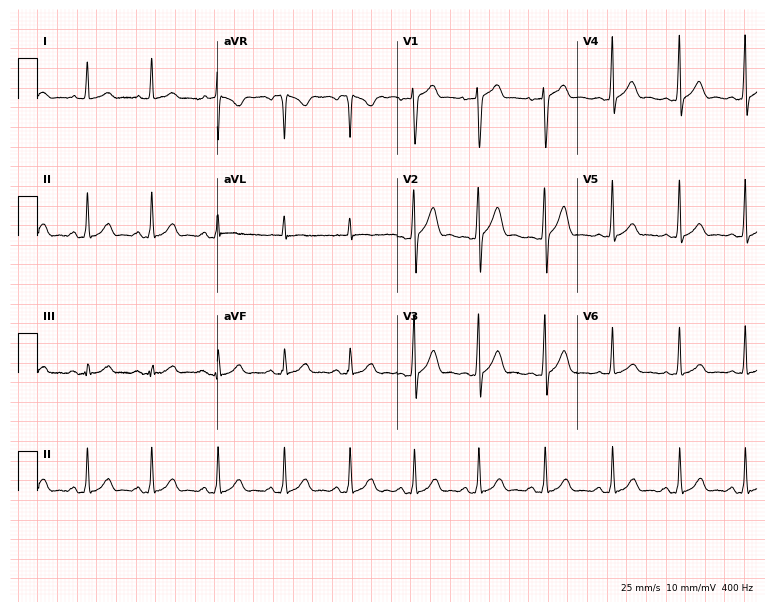
12-lead ECG (7.3-second recording at 400 Hz) from a 24-year-old male patient. Labelled as a normal ECG.